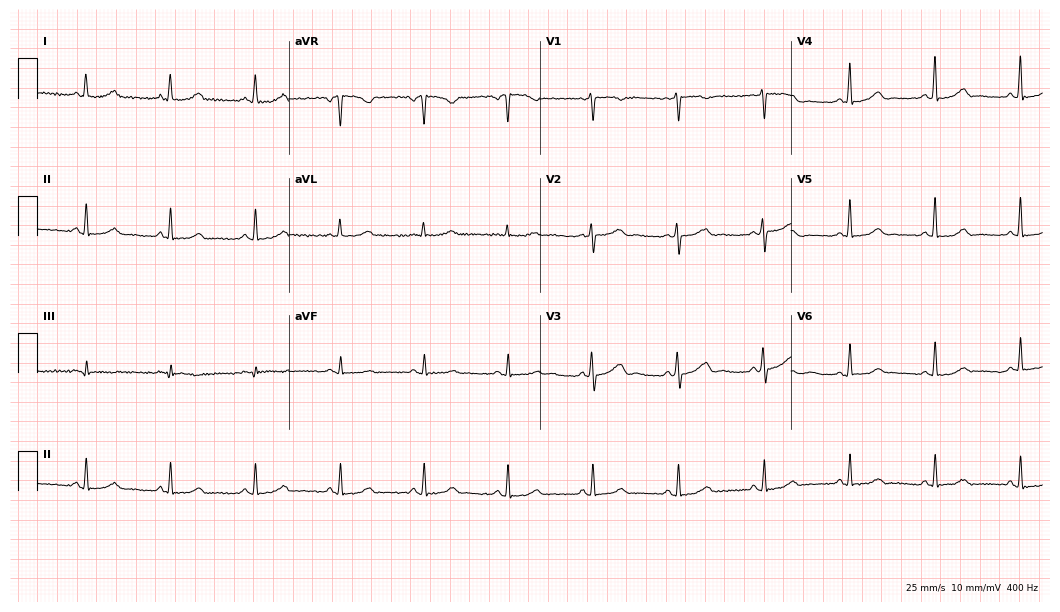
Resting 12-lead electrocardiogram. Patient: a 48-year-old woman. Read as a normal ECG.